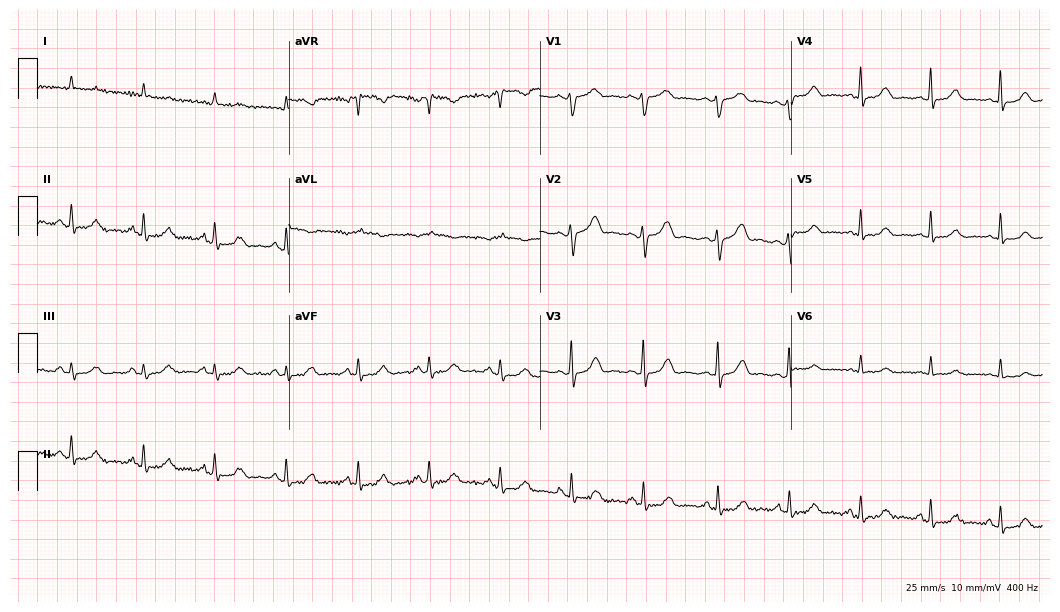
Resting 12-lead electrocardiogram. Patient: a woman, 54 years old. Read as a normal ECG.